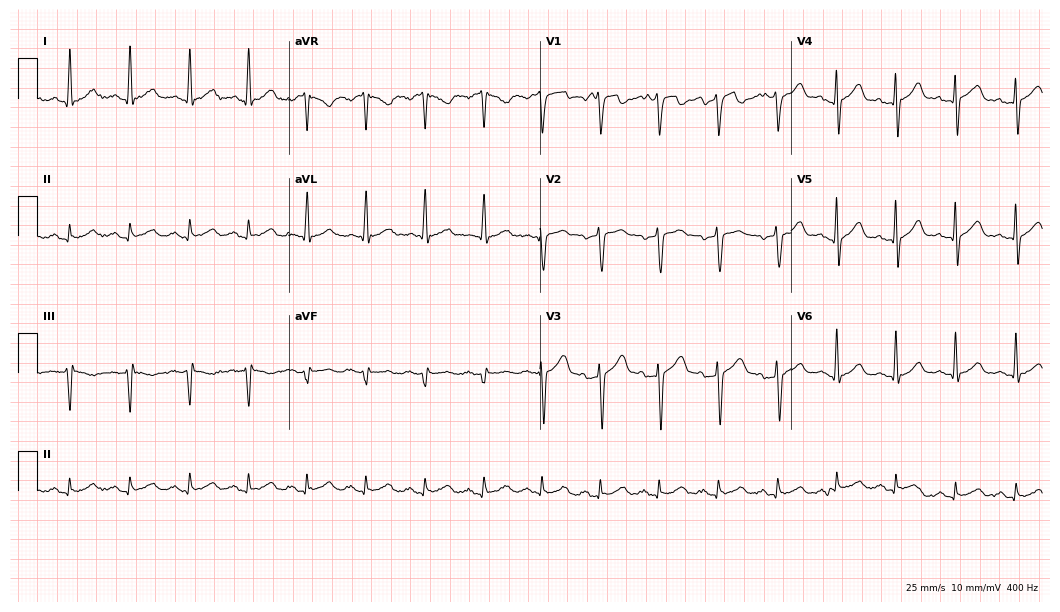
Electrocardiogram, a 66-year-old man. Overall reading on record: normal ECG.